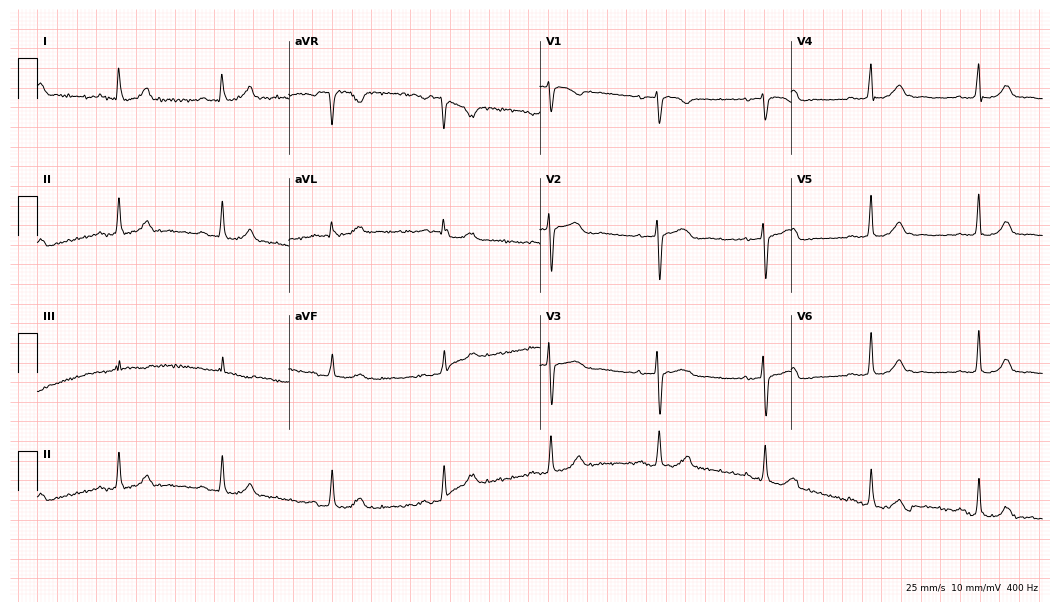
Electrocardiogram (10.2-second recording at 400 Hz), a 50-year-old female patient. Overall reading on record: normal ECG.